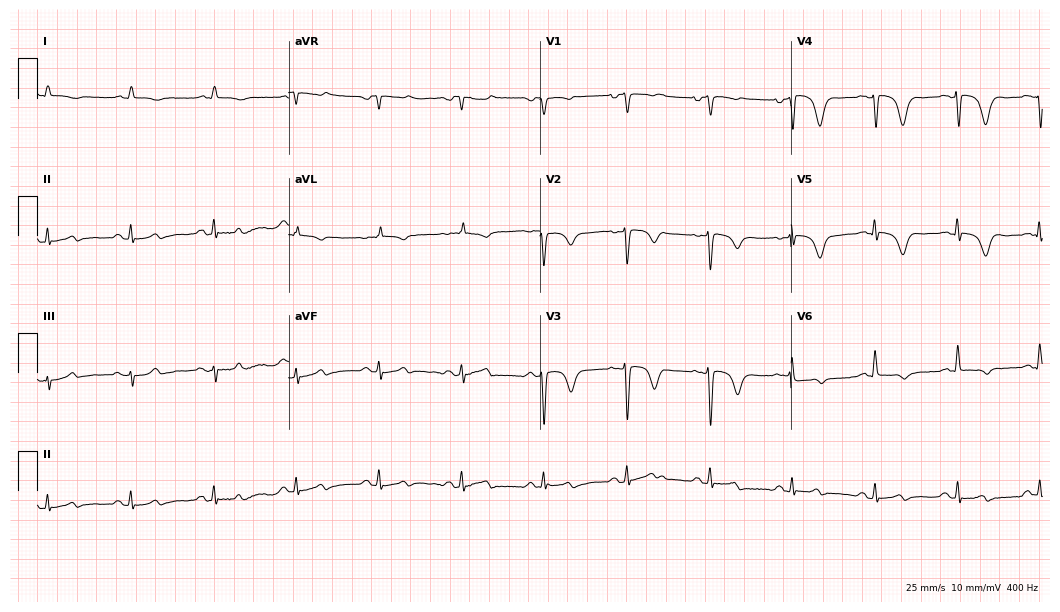
ECG — a female, 85 years old. Screened for six findings — first-degree AV block, right bundle branch block (RBBB), left bundle branch block (LBBB), sinus bradycardia, atrial fibrillation (AF), sinus tachycardia — none is recorded.